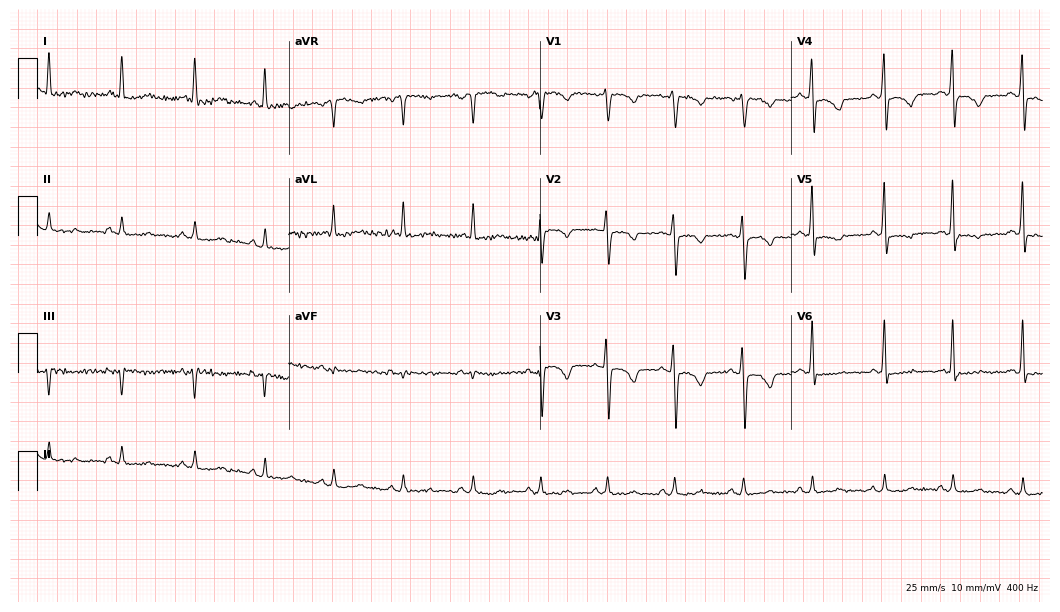
Standard 12-lead ECG recorded from a female patient, 51 years old (10.2-second recording at 400 Hz). None of these six findings is recorded: first-degree AV block, right bundle branch block, left bundle branch block, sinus bradycardia, atrial fibrillation, sinus tachycardia. Findings outside these six are not listed.